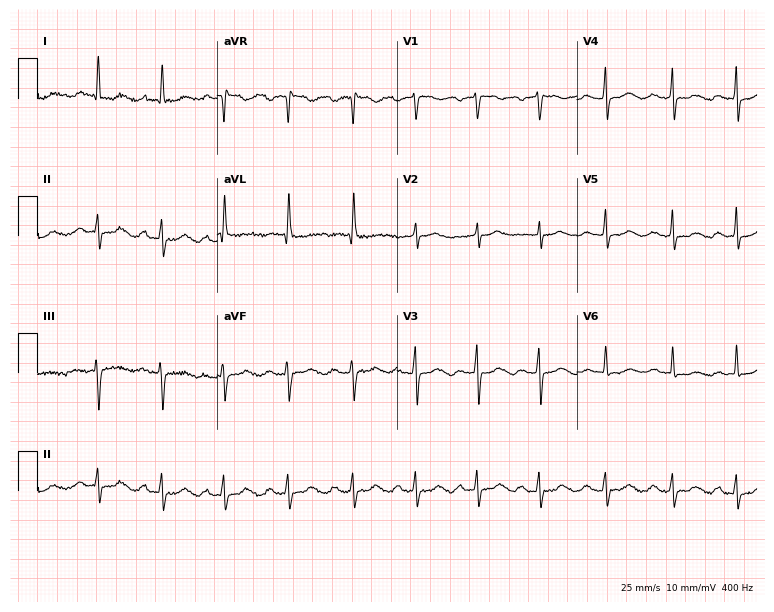
Electrocardiogram, a 73-year-old female patient. Overall reading on record: normal ECG.